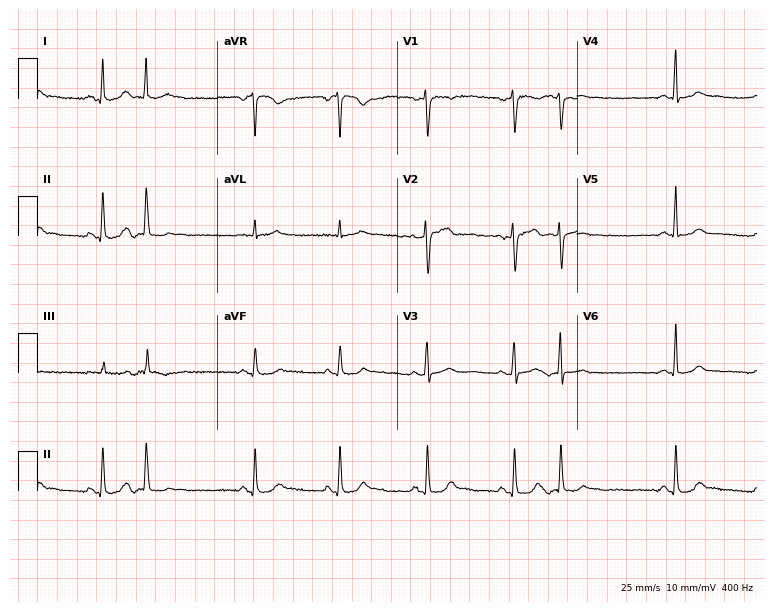
12-lead ECG from a 38-year-old female patient. No first-degree AV block, right bundle branch block (RBBB), left bundle branch block (LBBB), sinus bradycardia, atrial fibrillation (AF) or sinus tachycardia recorded for this tracing.